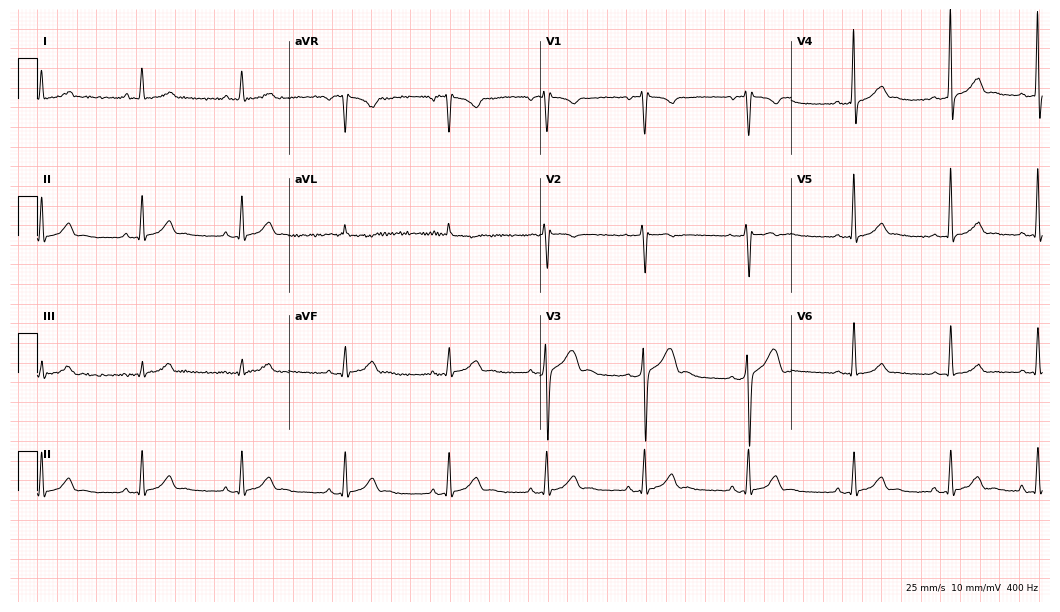
12-lead ECG from a 33-year-old male patient. Screened for six findings — first-degree AV block, right bundle branch block, left bundle branch block, sinus bradycardia, atrial fibrillation, sinus tachycardia — none is recorded. Other findings, if any, are not listed.